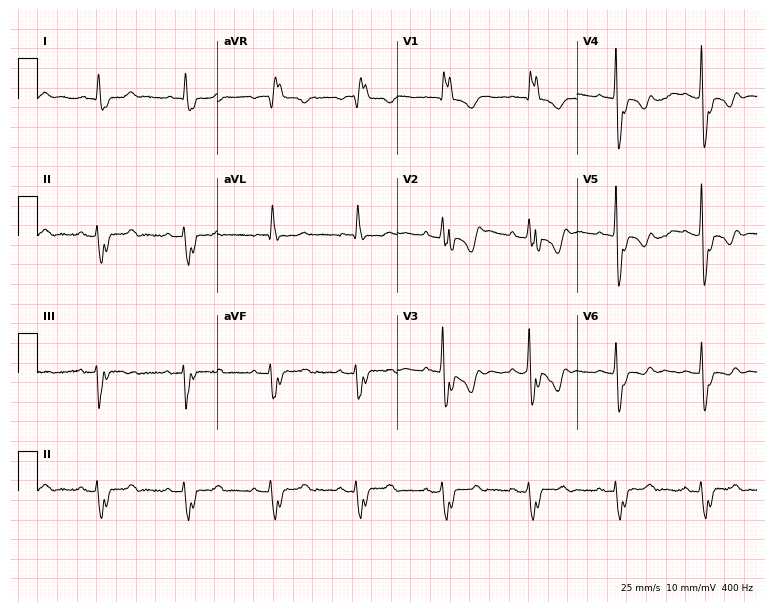
Electrocardiogram, a male patient, 66 years old. Interpretation includes right bundle branch block.